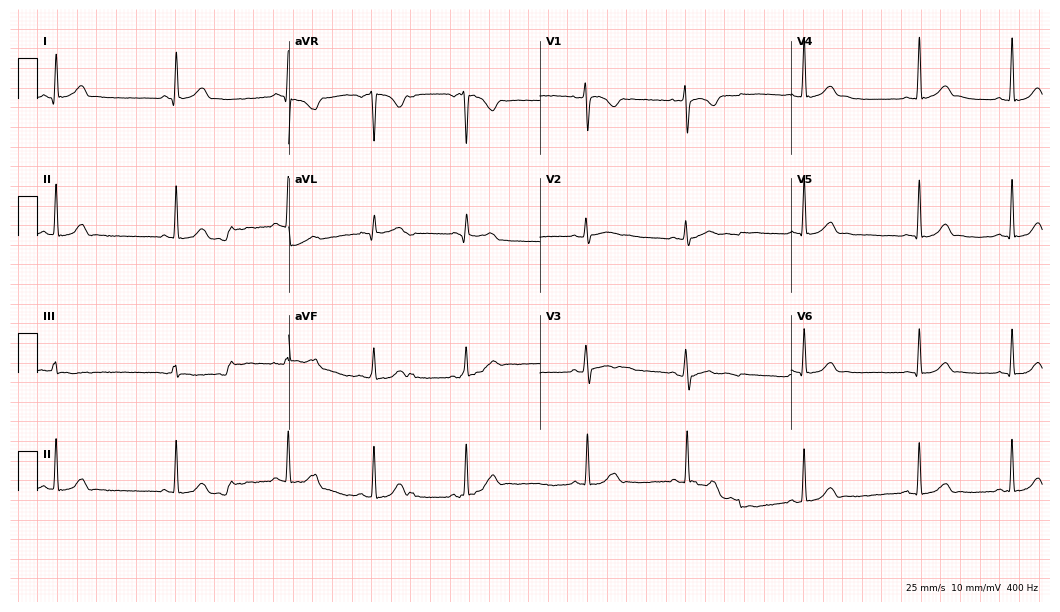
Resting 12-lead electrocardiogram. Patient: a 23-year-old female. None of these six findings is recorded: first-degree AV block, right bundle branch block (RBBB), left bundle branch block (LBBB), sinus bradycardia, atrial fibrillation (AF), sinus tachycardia.